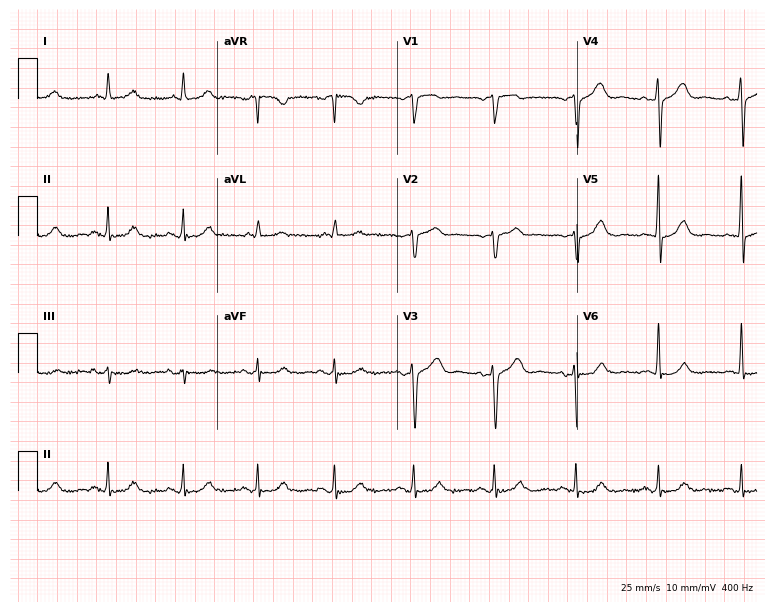
12-lead ECG from a male, 67 years old (7.3-second recording at 400 Hz). No first-degree AV block, right bundle branch block, left bundle branch block, sinus bradycardia, atrial fibrillation or sinus tachycardia recorded for this tracing. Findings outside these six are not listed.